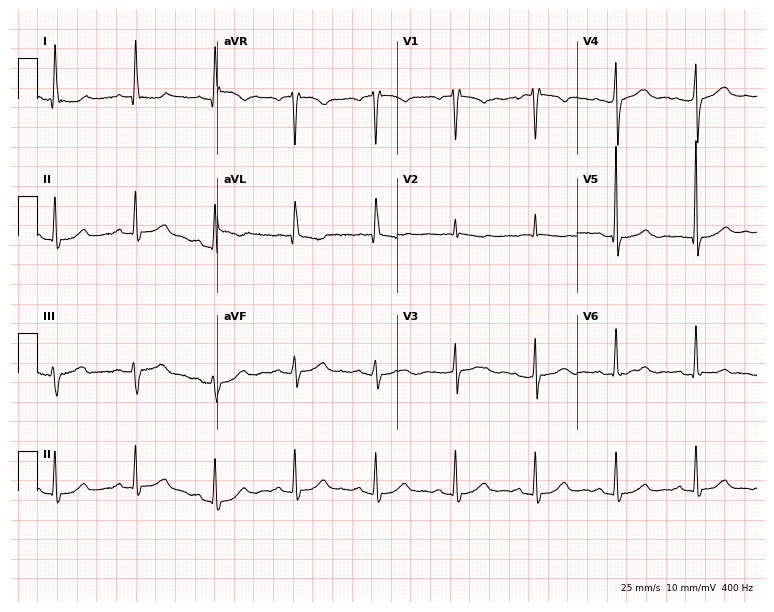
Standard 12-lead ECG recorded from a 54-year-old woman. None of these six findings is recorded: first-degree AV block, right bundle branch block (RBBB), left bundle branch block (LBBB), sinus bradycardia, atrial fibrillation (AF), sinus tachycardia. Findings outside these six are not listed.